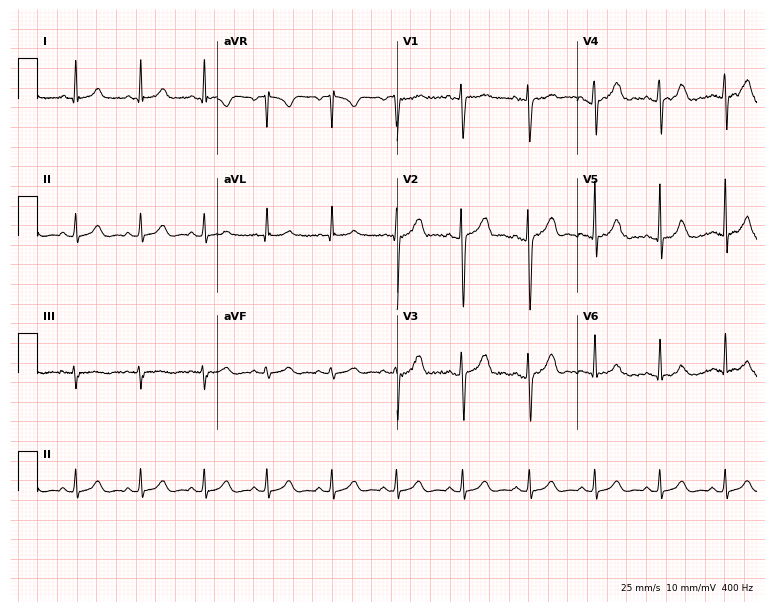
Electrocardiogram (7.3-second recording at 400 Hz), a female patient, 30 years old. Overall reading on record: normal ECG.